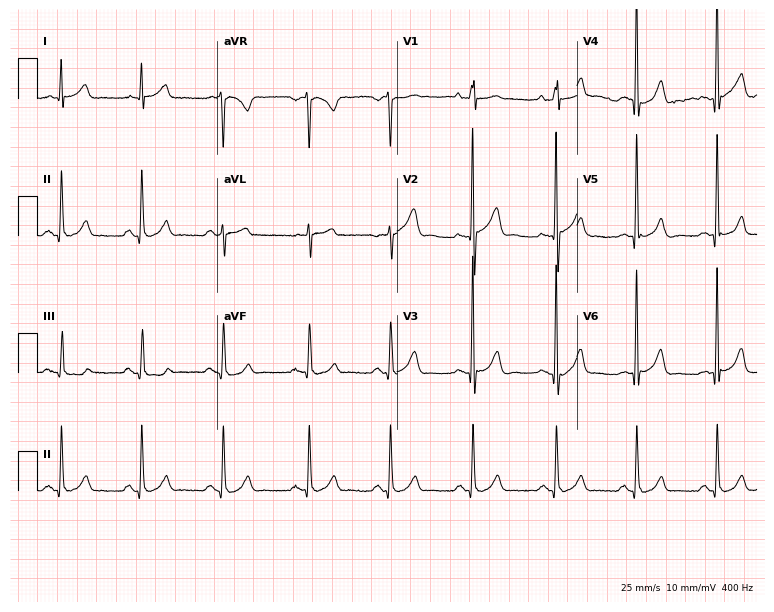
12-lead ECG (7.3-second recording at 400 Hz) from a male, 63 years old. Screened for six findings — first-degree AV block, right bundle branch block, left bundle branch block, sinus bradycardia, atrial fibrillation, sinus tachycardia — none is recorded.